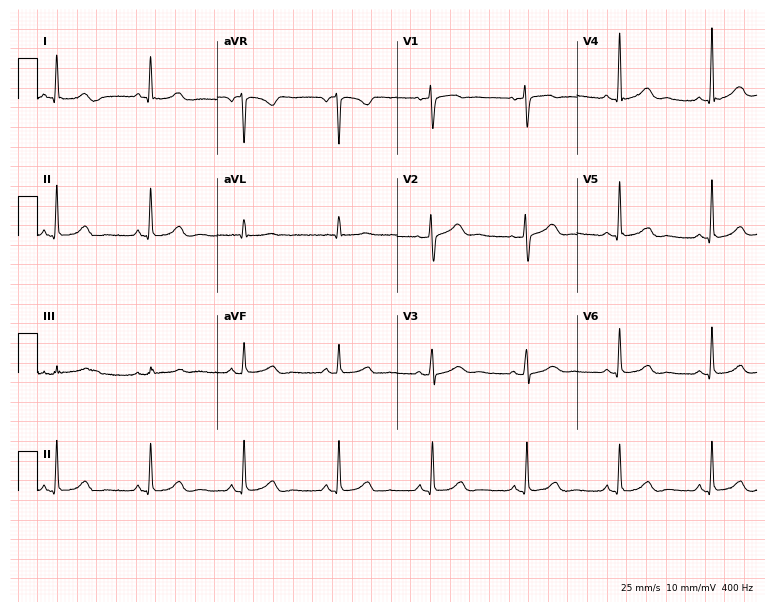
12-lead ECG (7.3-second recording at 400 Hz) from a 63-year-old female. Labelled as a normal ECG.